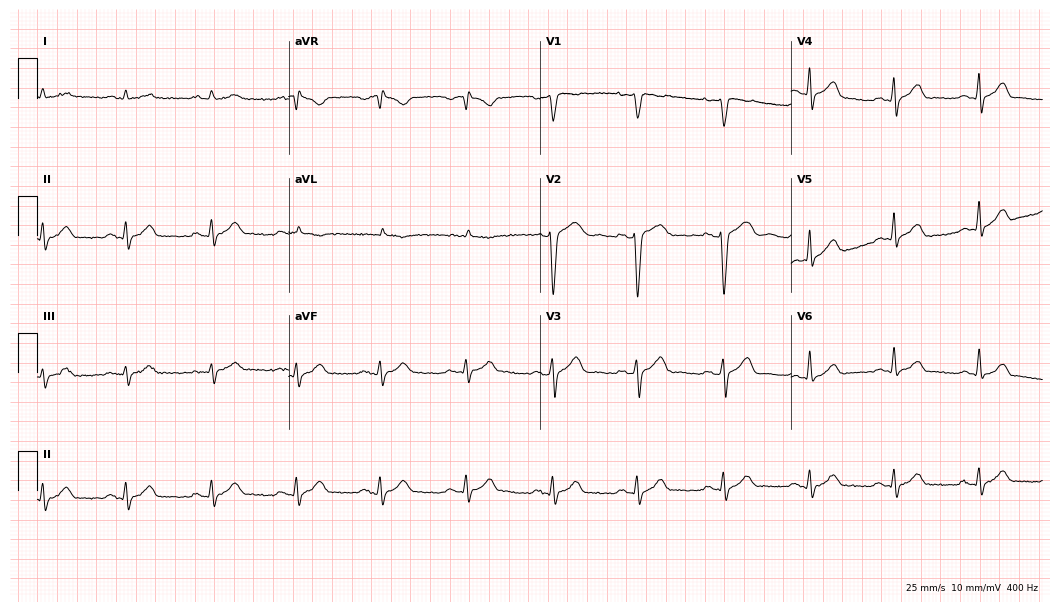
ECG (10.2-second recording at 400 Hz) — a male, 56 years old. Labelled as a normal ECG.